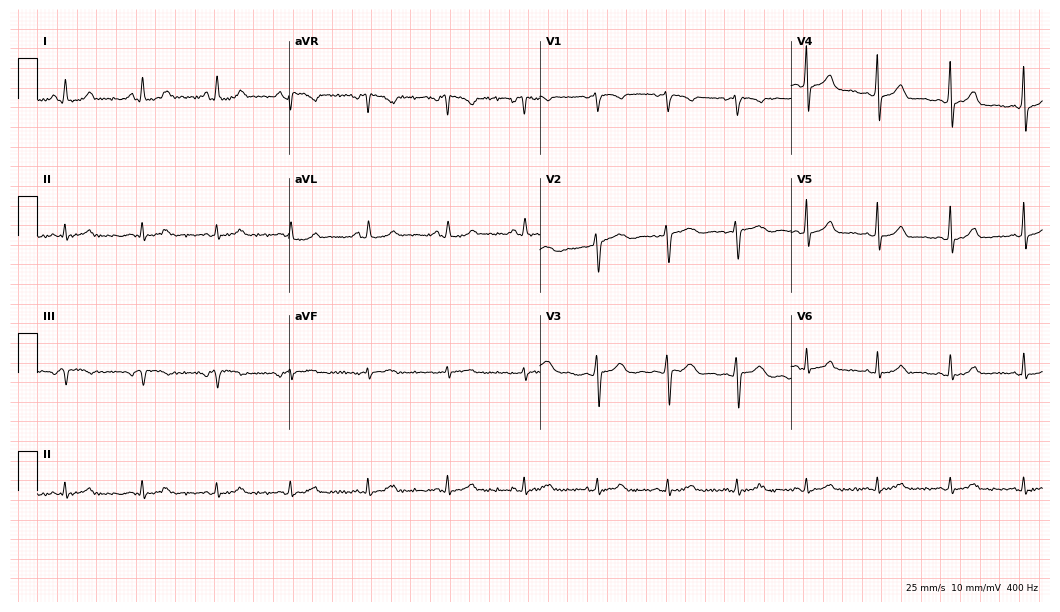
Standard 12-lead ECG recorded from a 42-year-old woman. Read as a normal ECG.